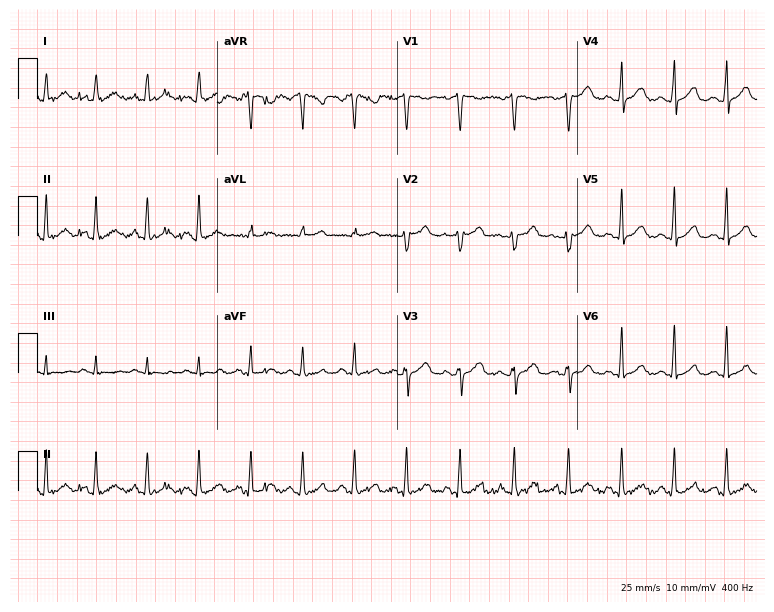
Electrocardiogram, a 31-year-old female. Of the six screened findings (first-degree AV block, right bundle branch block (RBBB), left bundle branch block (LBBB), sinus bradycardia, atrial fibrillation (AF), sinus tachycardia), none is recorded. Only these six findings were labelled.